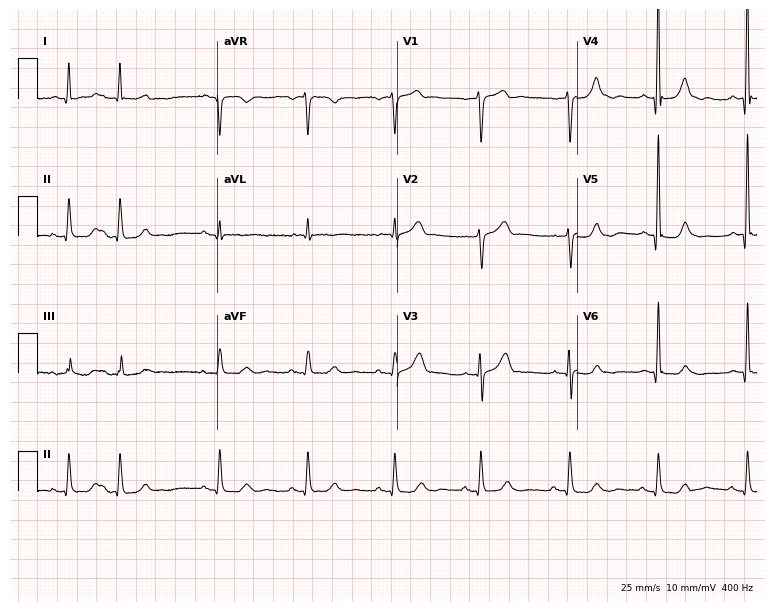
ECG — a male, 76 years old. Screened for six findings — first-degree AV block, right bundle branch block, left bundle branch block, sinus bradycardia, atrial fibrillation, sinus tachycardia — none is recorded.